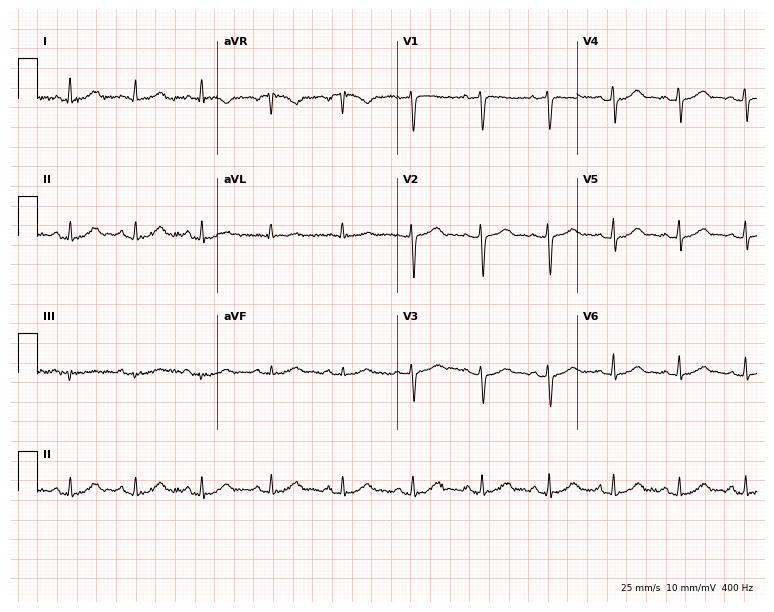
12-lead ECG from a woman, 35 years old (7.3-second recording at 400 Hz). Recorded interpretation: within normal limits.